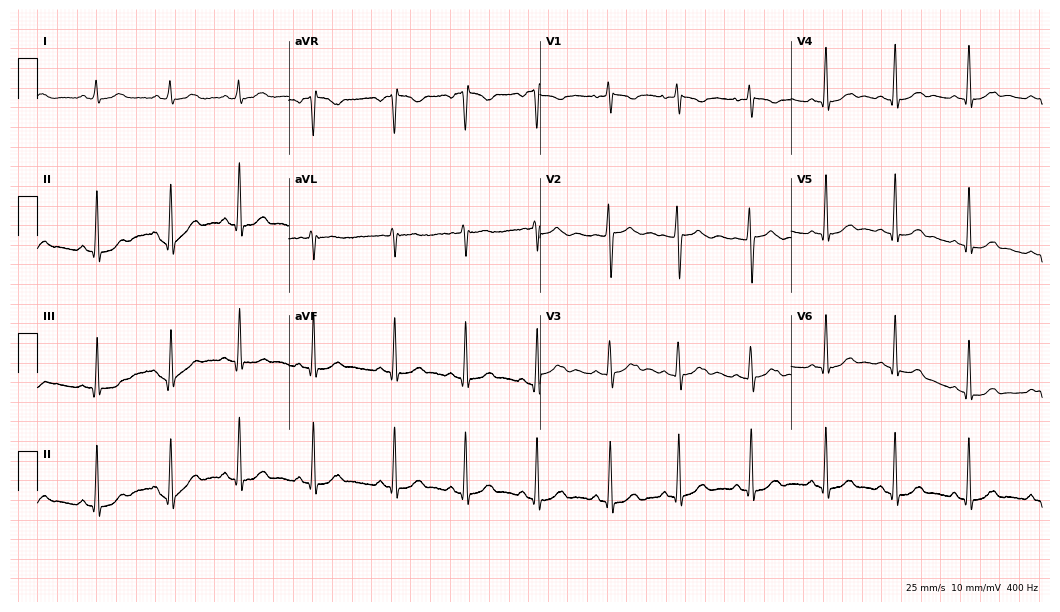
Standard 12-lead ECG recorded from a 26-year-old female patient (10.2-second recording at 400 Hz). Read as a normal ECG.